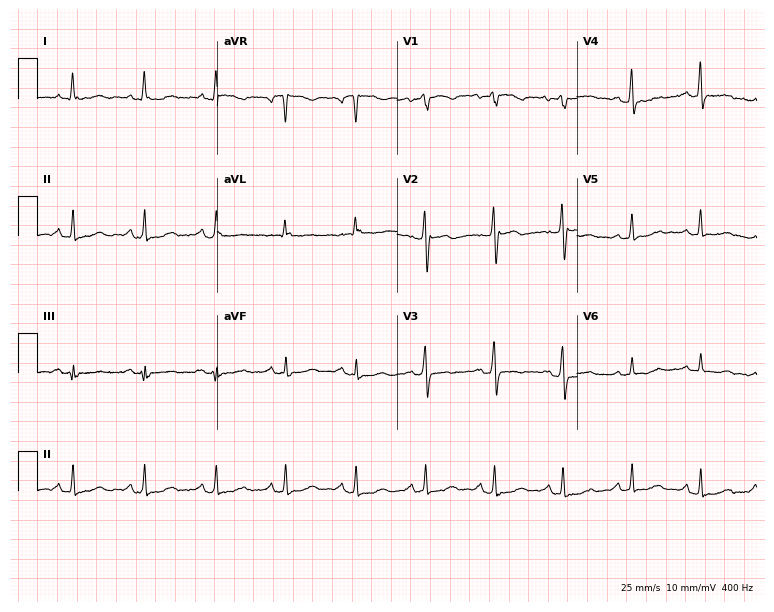
Electrocardiogram, a 64-year-old female patient. Of the six screened findings (first-degree AV block, right bundle branch block (RBBB), left bundle branch block (LBBB), sinus bradycardia, atrial fibrillation (AF), sinus tachycardia), none is recorded.